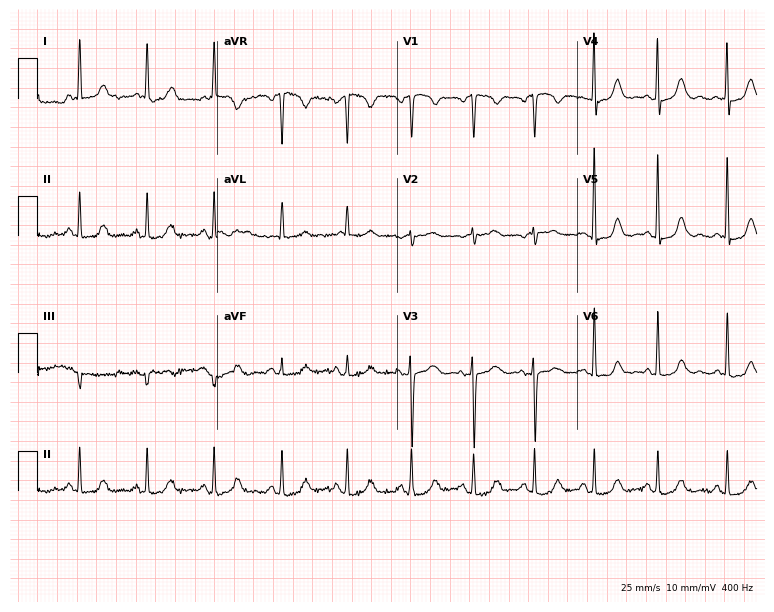
Resting 12-lead electrocardiogram (7.3-second recording at 400 Hz). Patient: a female, 48 years old. None of these six findings is recorded: first-degree AV block, right bundle branch block (RBBB), left bundle branch block (LBBB), sinus bradycardia, atrial fibrillation (AF), sinus tachycardia. Other findings, if any, are not listed.